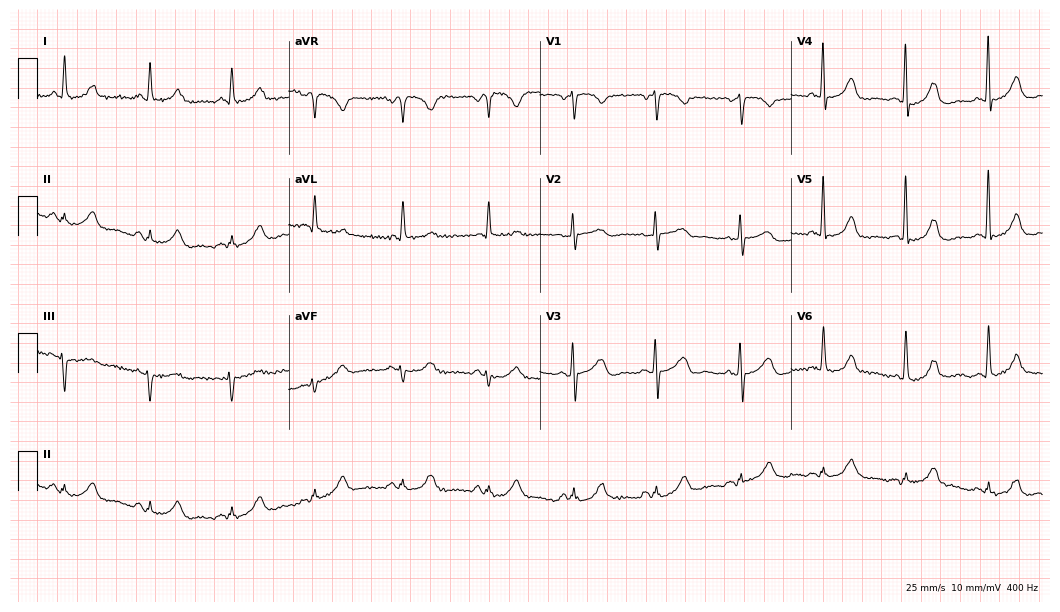
Resting 12-lead electrocardiogram (10.2-second recording at 400 Hz). Patient: a woman, 80 years old. Read as a normal ECG.